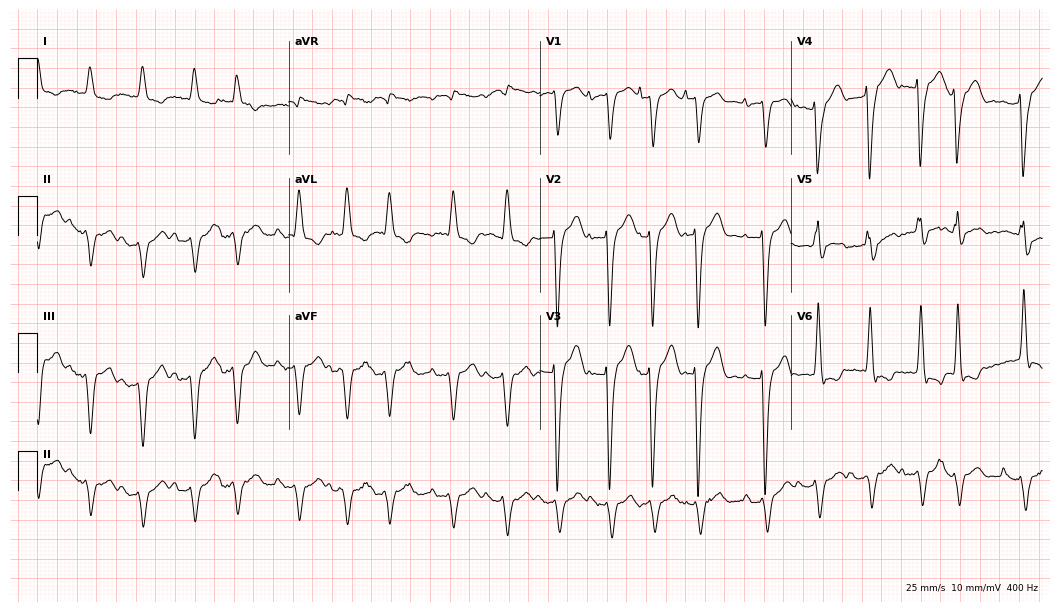
Resting 12-lead electrocardiogram. Patient: an 80-year-old male. The tracing shows left bundle branch block, sinus tachycardia (a sinus rate of 100 beats per minute or more).